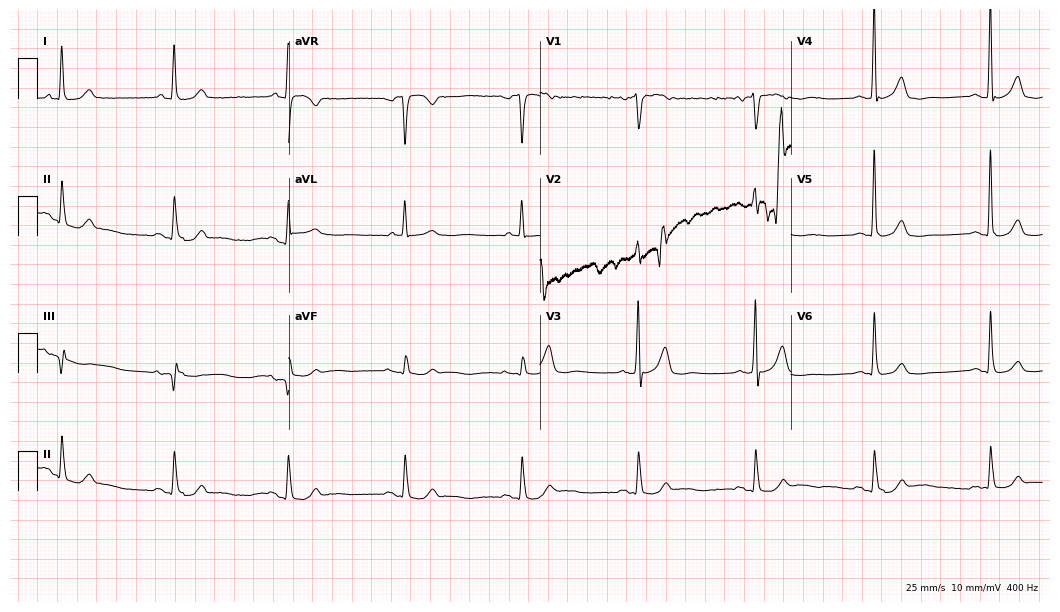
12-lead ECG from a female patient, 78 years old (10.2-second recording at 400 Hz). No first-degree AV block, right bundle branch block (RBBB), left bundle branch block (LBBB), sinus bradycardia, atrial fibrillation (AF) or sinus tachycardia recorded for this tracing. Other findings, if any, are not listed.